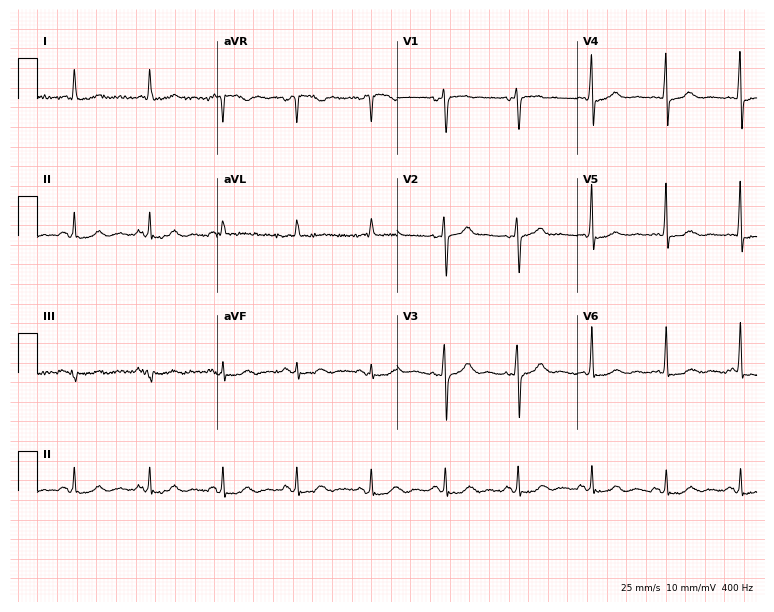
12-lead ECG from an 85-year-old woman. No first-degree AV block, right bundle branch block (RBBB), left bundle branch block (LBBB), sinus bradycardia, atrial fibrillation (AF) or sinus tachycardia recorded for this tracing.